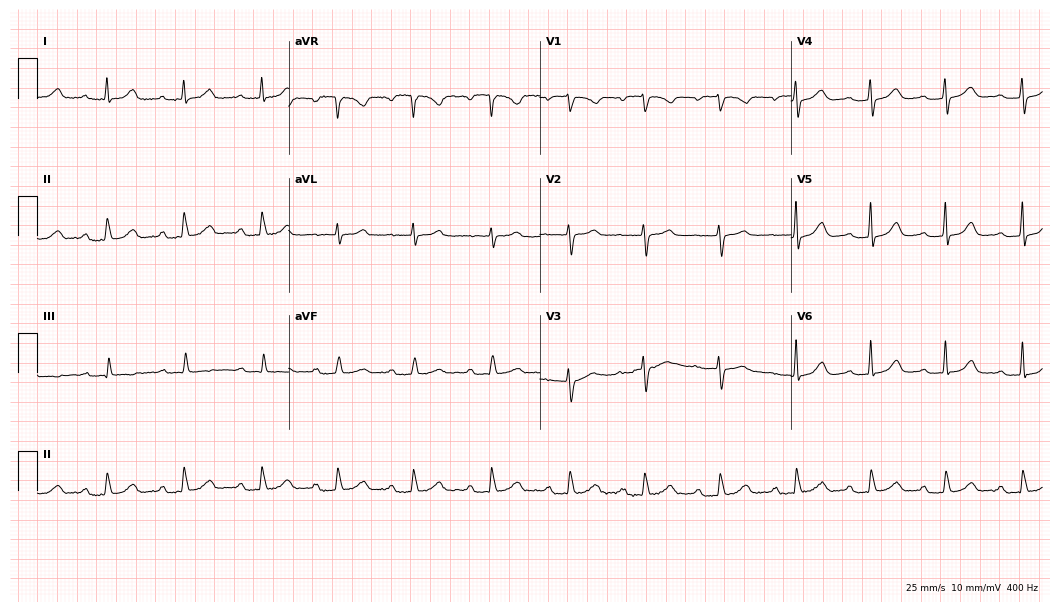
ECG — a woman, 83 years old. Findings include first-degree AV block.